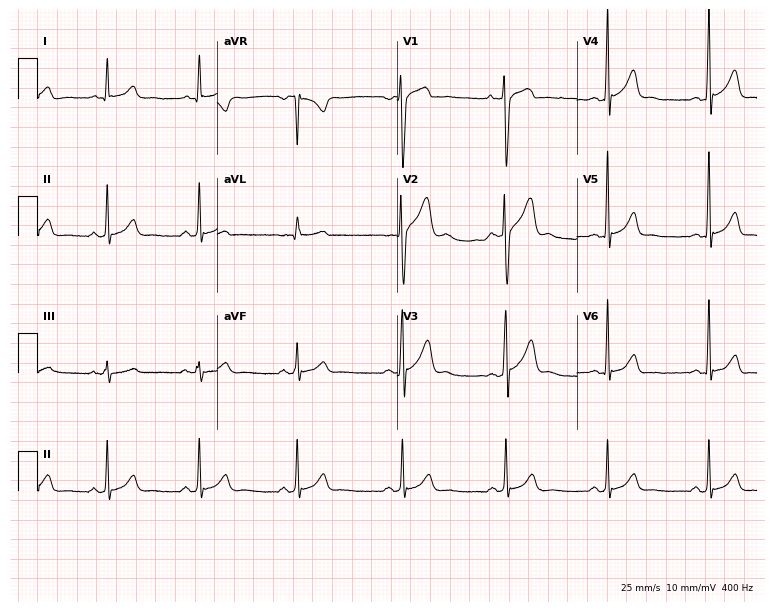
Standard 12-lead ECG recorded from a 35-year-old male. Read as a normal ECG.